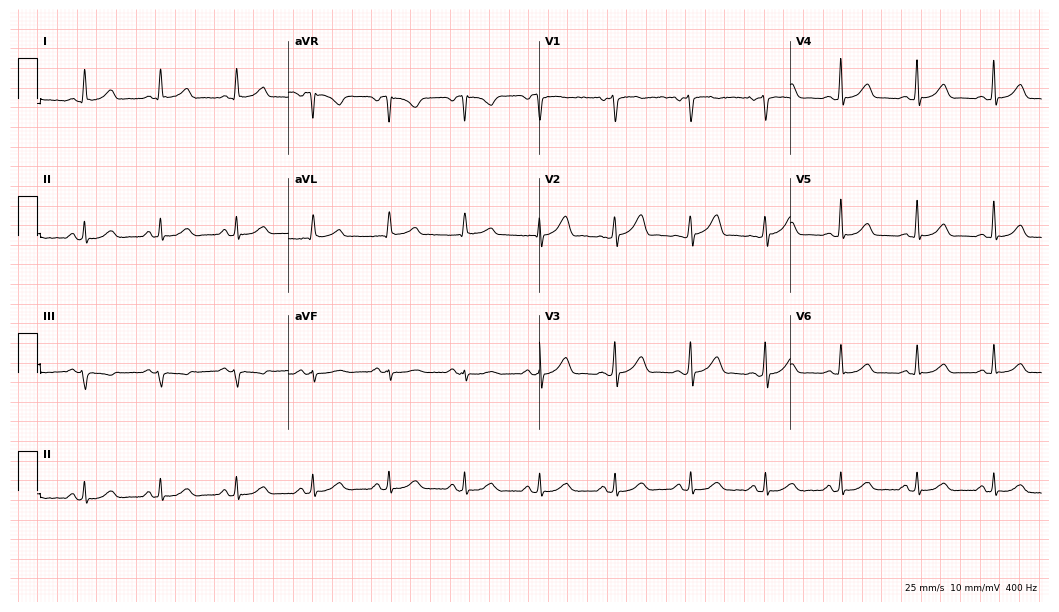
12-lead ECG from a 40-year-old female patient. No first-degree AV block, right bundle branch block, left bundle branch block, sinus bradycardia, atrial fibrillation or sinus tachycardia recorded for this tracing.